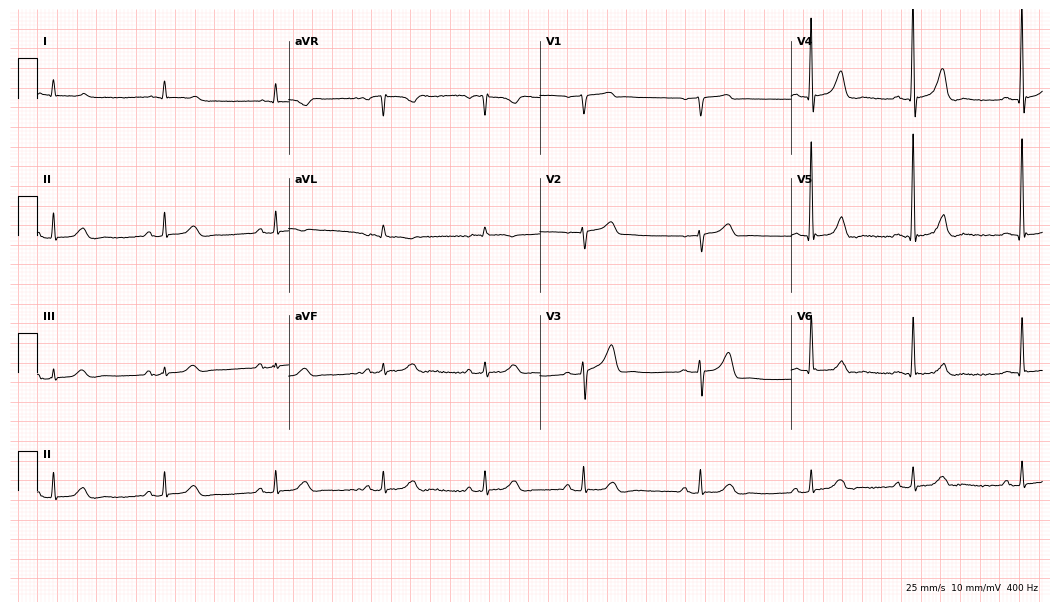
ECG — a 76-year-old male. Labelled as a normal ECG.